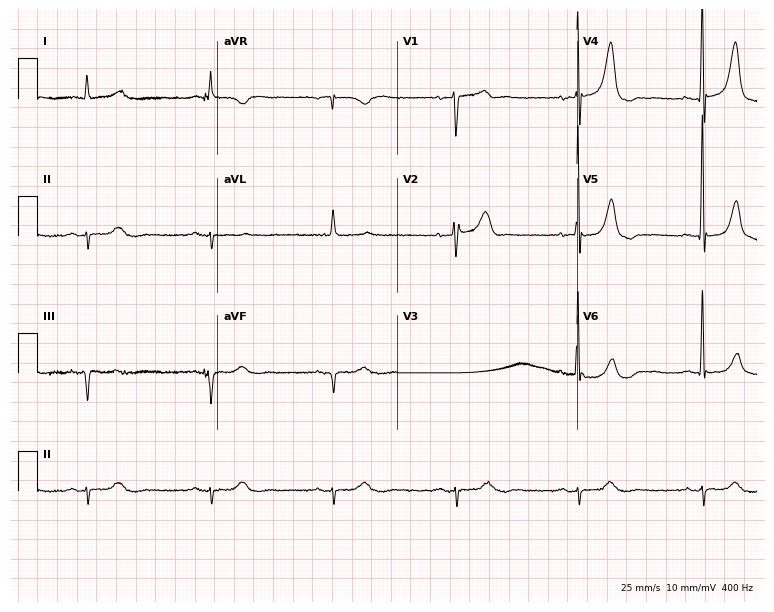
Resting 12-lead electrocardiogram (7.3-second recording at 400 Hz). Patient: an 85-year-old man. None of these six findings is recorded: first-degree AV block, right bundle branch block, left bundle branch block, sinus bradycardia, atrial fibrillation, sinus tachycardia. Other findings, if any, are not listed.